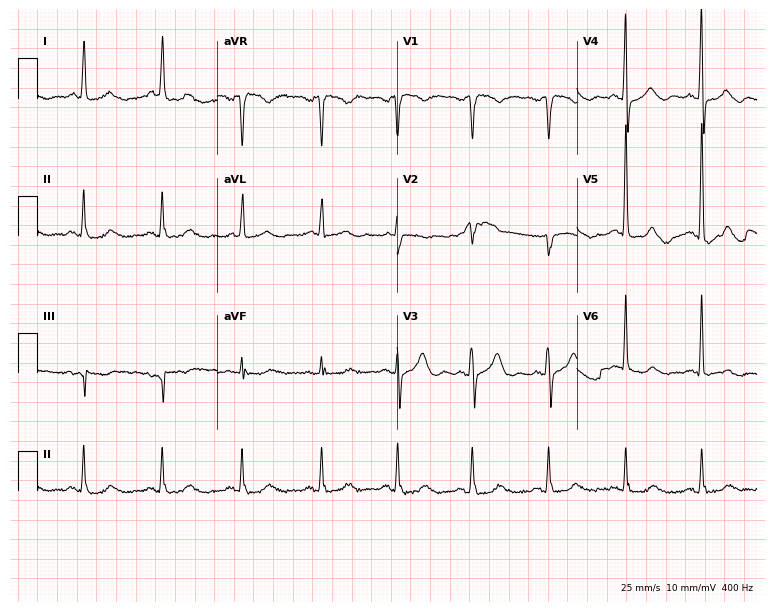
12-lead ECG from a female patient, 70 years old. No first-degree AV block, right bundle branch block (RBBB), left bundle branch block (LBBB), sinus bradycardia, atrial fibrillation (AF) or sinus tachycardia recorded for this tracing. Only these six findings were labelled.